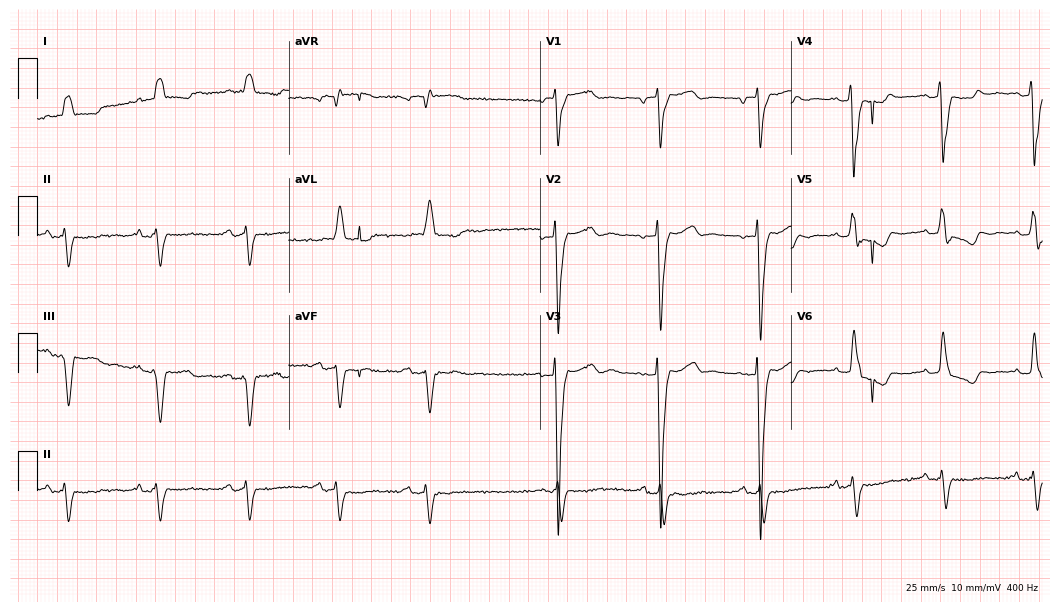
Electrocardiogram (10.2-second recording at 400 Hz), a male, 79 years old. Of the six screened findings (first-degree AV block, right bundle branch block, left bundle branch block, sinus bradycardia, atrial fibrillation, sinus tachycardia), none is recorded. Findings outside these six are not listed.